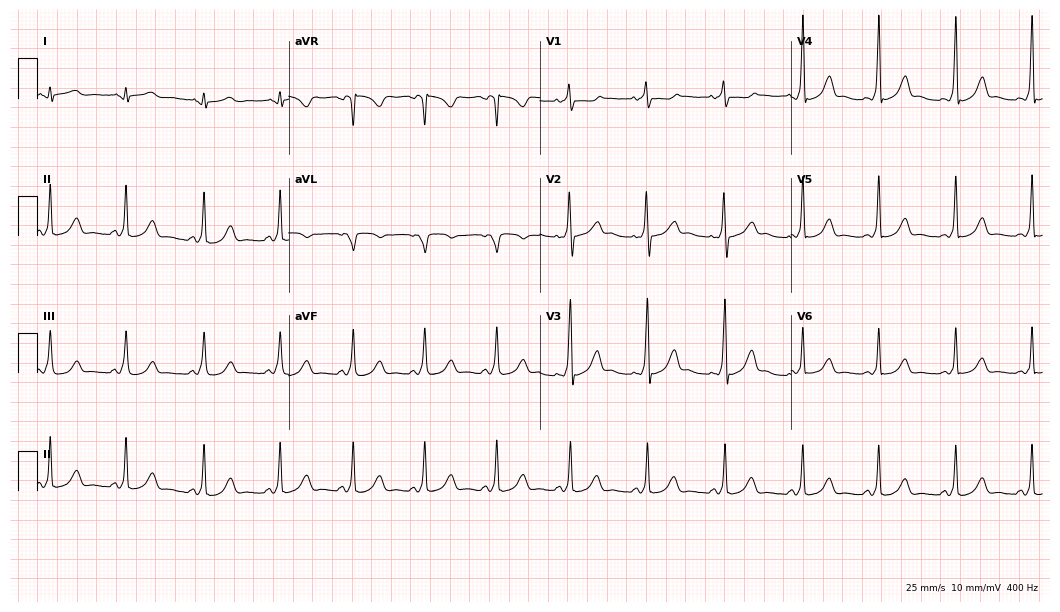
ECG — a female, 20 years old. Screened for six findings — first-degree AV block, right bundle branch block, left bundle branch block, sinus bradycardia, atrial fibrillation, sinus tachycardia — none is recorded.